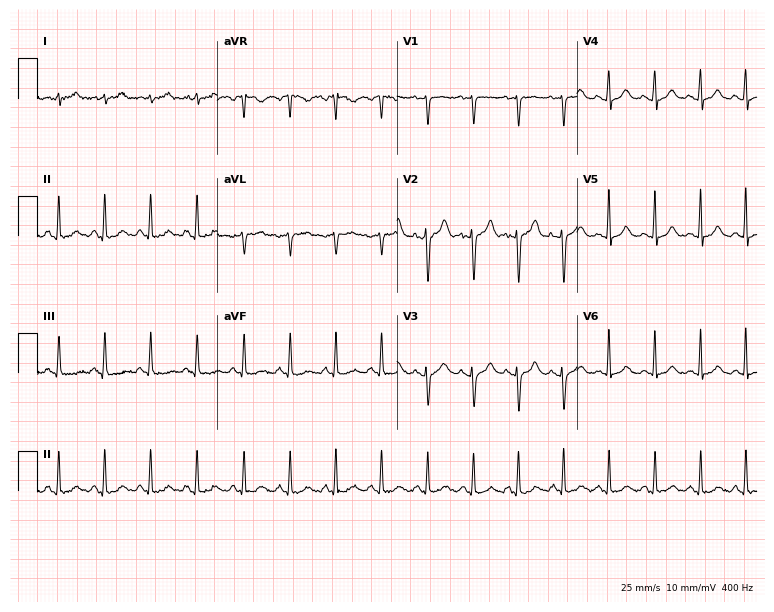
Electrocardiogram, a 40-year-old woman. Interpretation includes sinus tachycardia (a sinus rate of 100 beats per minute or more).